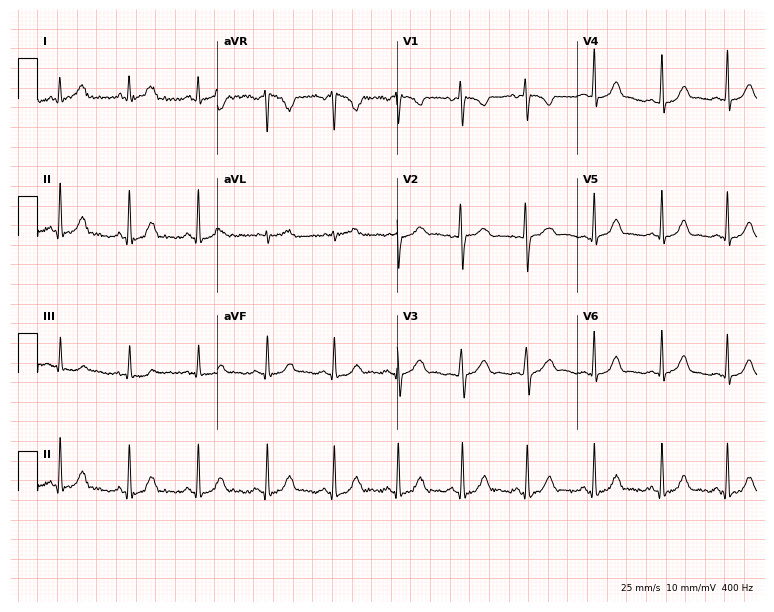
12-lead ECG from a female, 20 years old. Recorded interpretation: within normal limits.